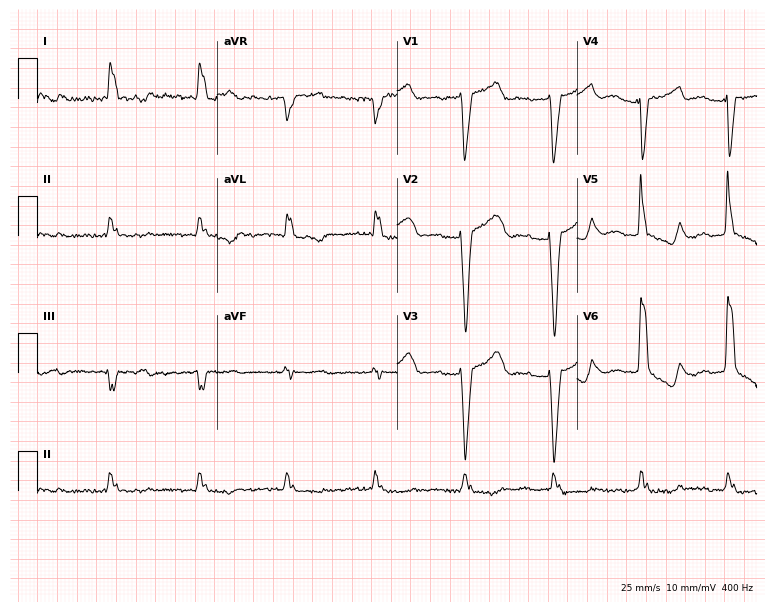
Standard 12-lead ECG recorded from a female, 83 years old (7.3-second recording at 400 Hz). The tracing shows first-degree AV block, left bundle branch block.